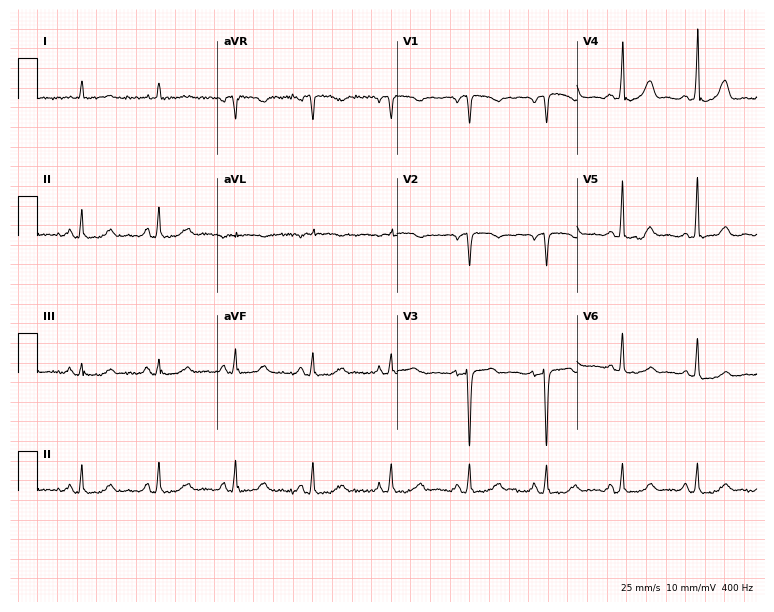
Standard 12-lead ECG recorded from a 73-year-old female. Read as a normal ECG.